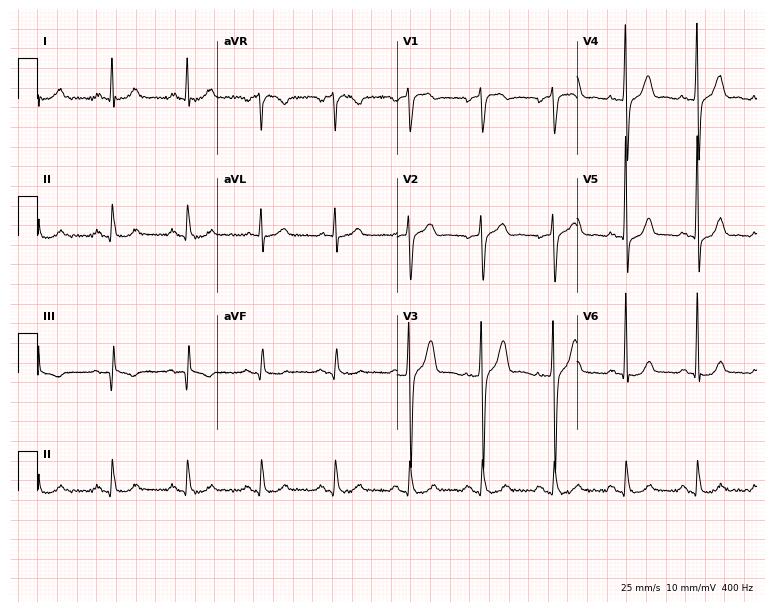
ECG — a 64-year-old man. Screened for six findings — first-degree AV block, right bundle branch block (RBBB), left bundle branch block (LBBB), sinus bradycardia, atrial fibrillation (AF), sinus tachycardia — none is recorded.